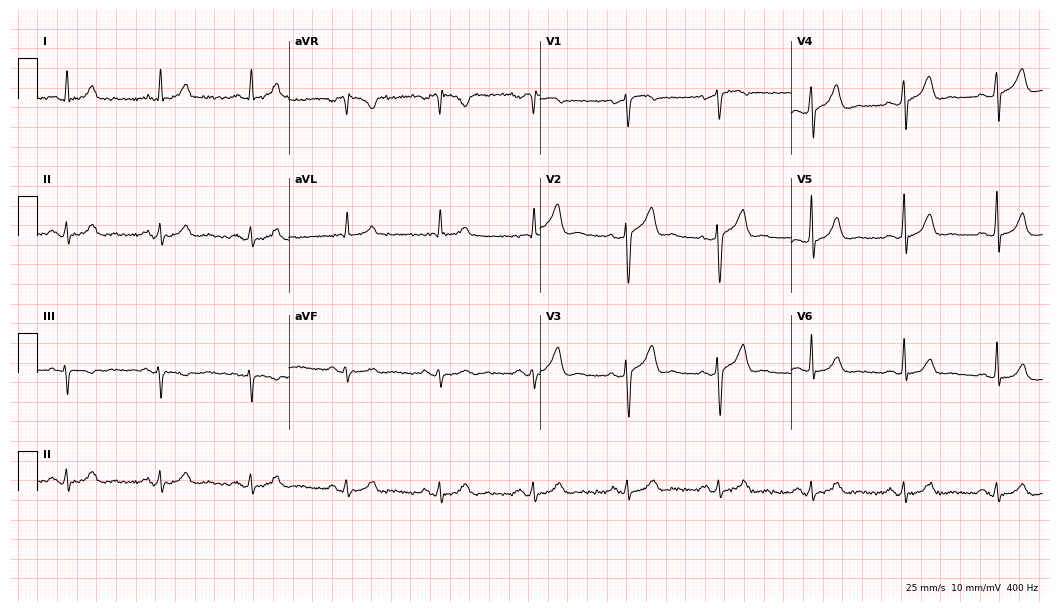
12-lead ECG from a 45-year-old male patient (10.2-second recording at 400 Hz). No first-degree AV block, right bundle branch block, left bundle branch block, sinus bradycardia, atrial fibrillation or sinus tachycardia recorded for this tracing.